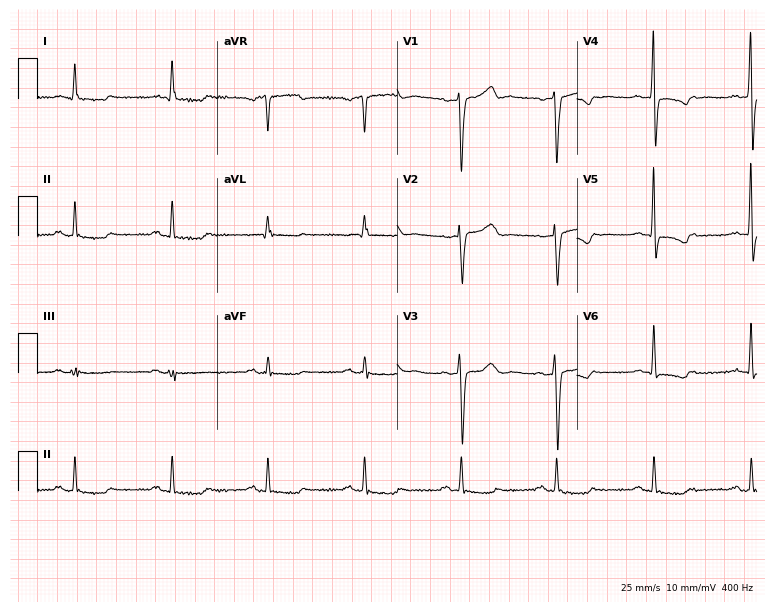
12-lead ECG from a 68-year-old male (7.3-second recording at 400 Hz). No first-degree AV block, right bundle branch block, left bundle branch block, sinus bradycardia, atrial fibrillation or sinus tachycardia recorded for this tracing.